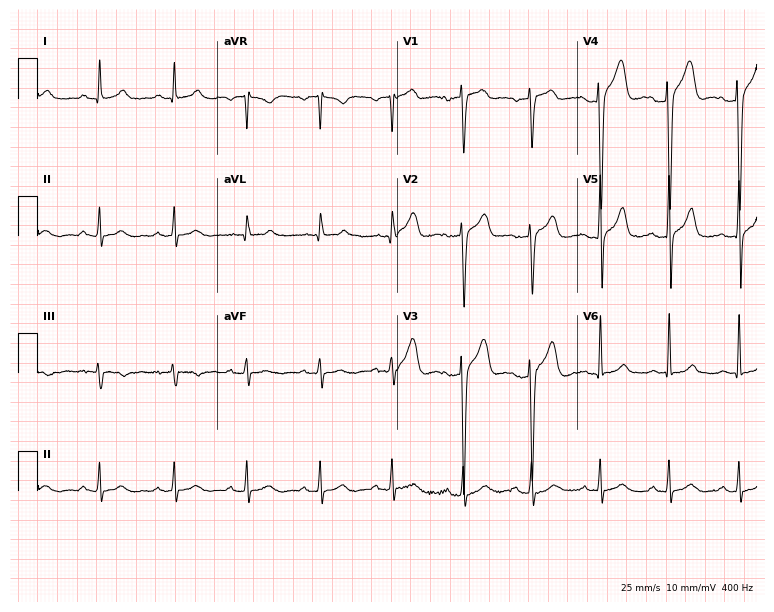
ECG (7.3-second recording at 400 Hz) — a 47-year-old male patient. Labelled as a normal ECG.